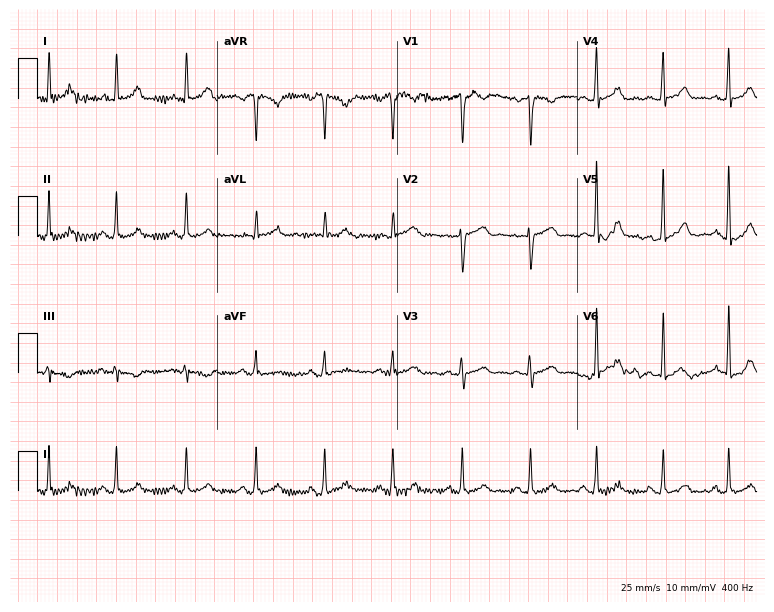
Electrocardiogram, a 51-year-old female patient. Overall reading on record: normal ECG.